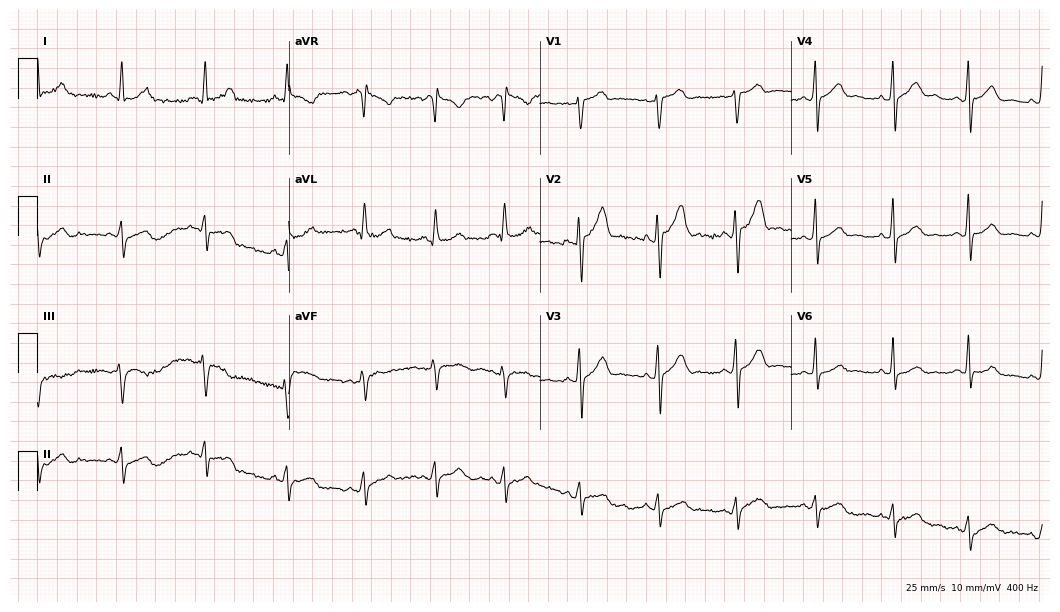
Standard 12-lead ECG recorded from a 34-year-old man (10.2-second recording at 400 Hz). None of these six findings is recorded: first-degree AV block, right bundle branch block, left bundle branch block, sinus bradycardia, atrial fibrillation, sinus tachycardia.